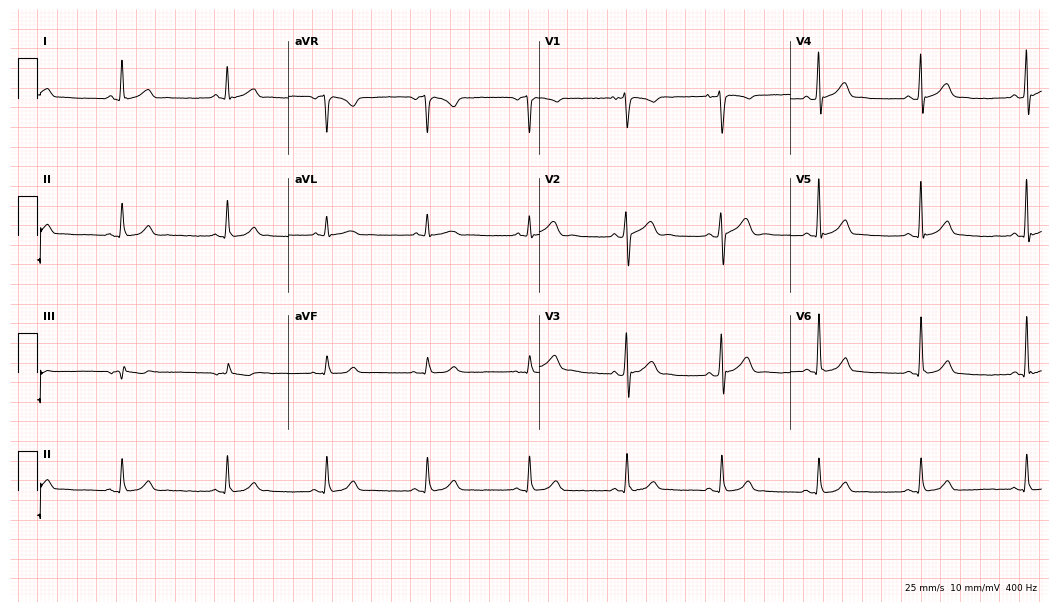
ECG — a male, 31 years old. Labelled as a normal ECG.